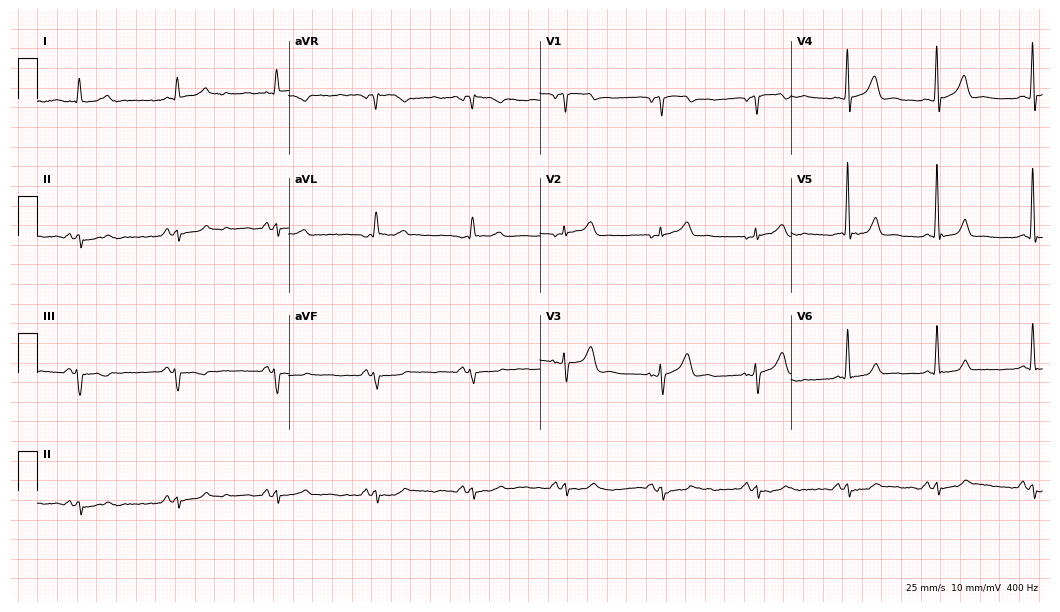
ECG — a male, 71 years old. Screened for six findings — first-degree AV block, right bundle branch block, left bundle branch block, sinus bradycardia, atrial fibrillation, sinus tachycardia — none is recorded. Other findings, if any, are not listed.